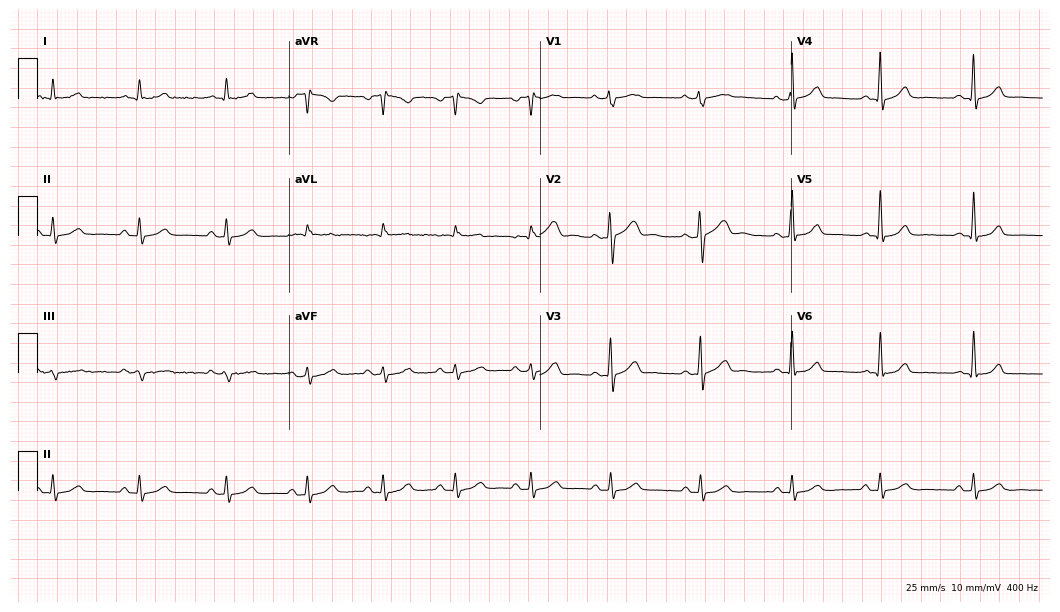
Electrocardiogram (10.2-second recording at 400 Hz), a man, 37 years old. Overall reading on record: normal ECG.